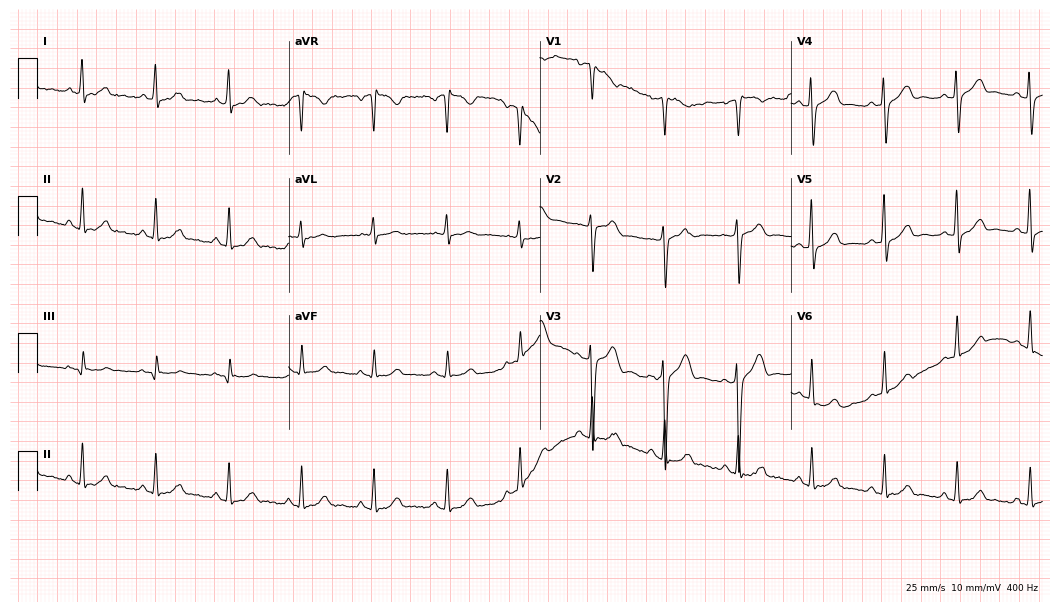
12-lead ECG from a 53-year-old male patient. Labelled as a normal ECG.